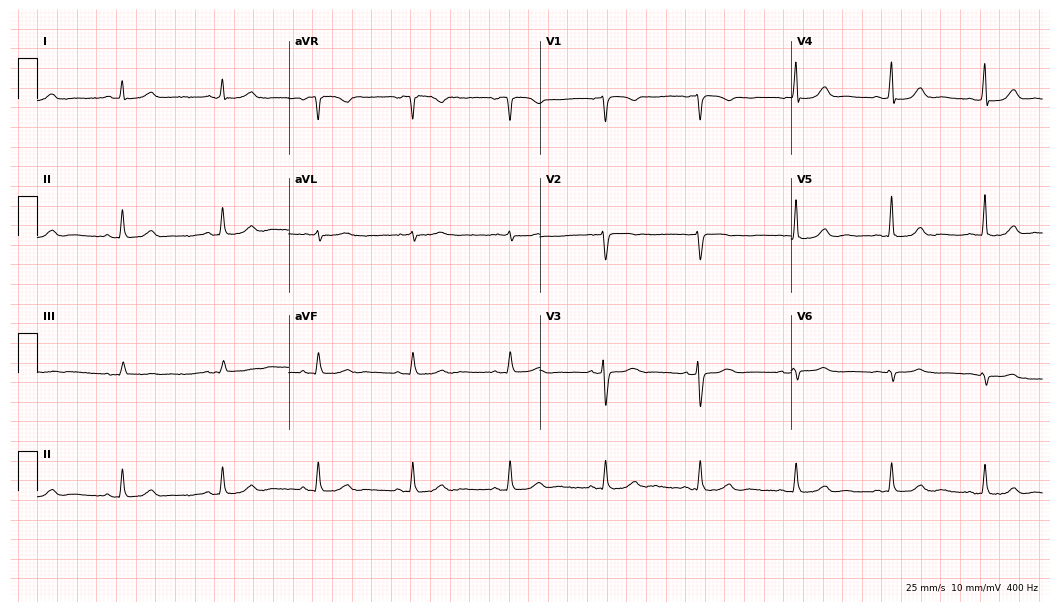
ECG — a 58-year-old female patient. Labelled as a normal ECG.